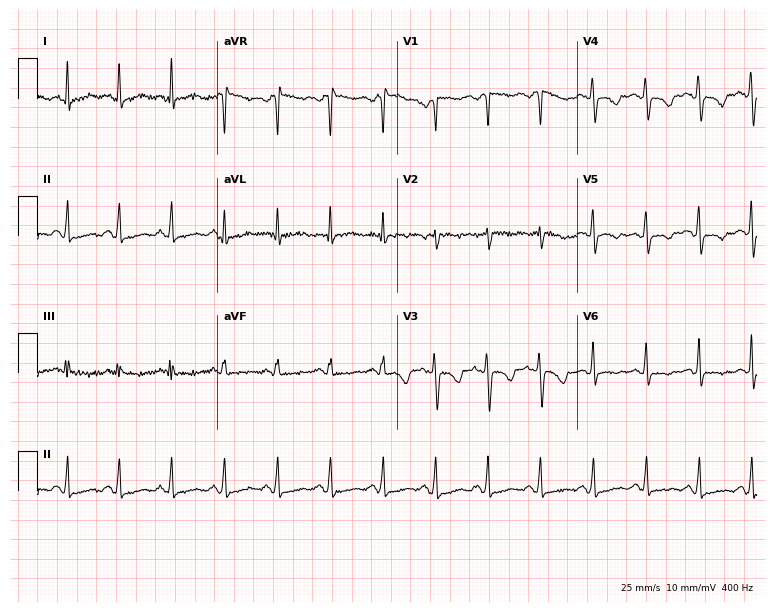
12-lead ECG from a 28-year-old female. Findings include sinus tachycardia (a sinus rate of 100 beats per minute or more).